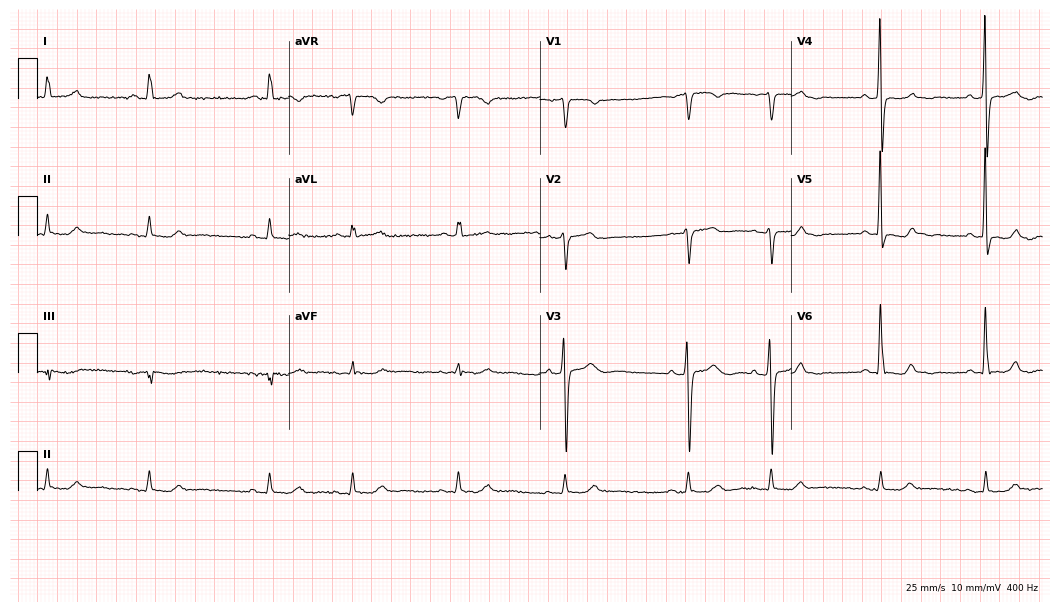
Electrocardiogram, a 61-year-old female. Of the six screened findings (first-degree AV block, right bundle branch block (RBBB), left bundle branch block (LBBB), sinus bradycardia, atrial fibrillation (AF), sinus tachycardia), none is recorded. Only these six findings were labelled.